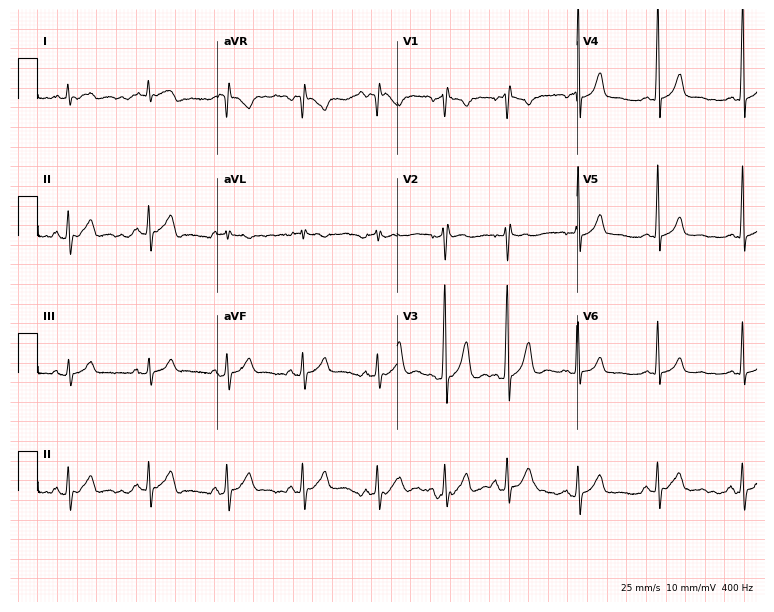
Resting 12-lead electrocardiogram (7.3-second recording at 400 Hz). Patient: a 20-year-old male. Read as a normal ECG.